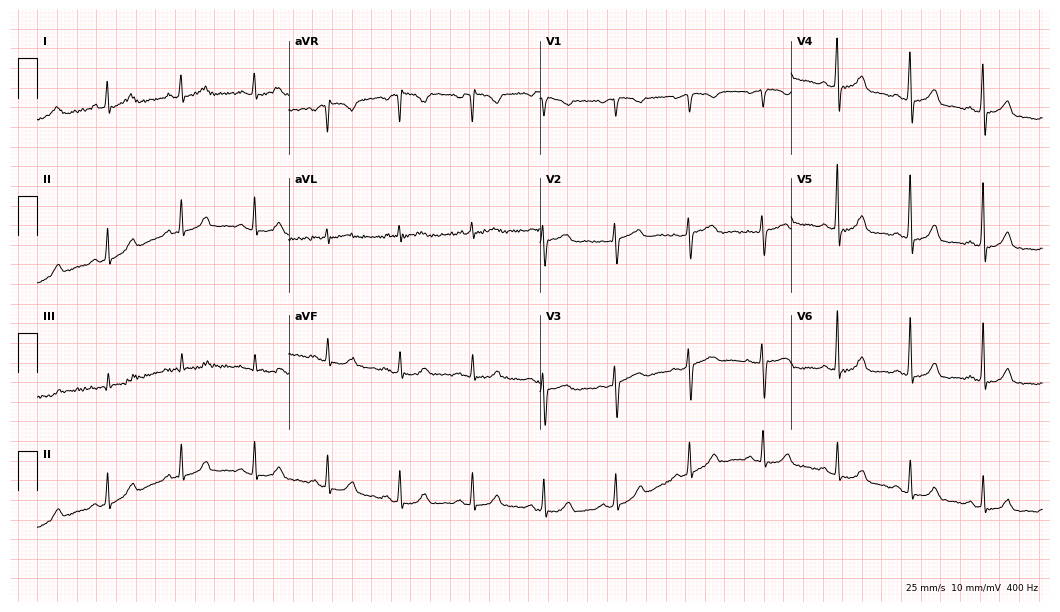
12-lead ECG from a 60-year-old female. Labelled as a normal ECG.